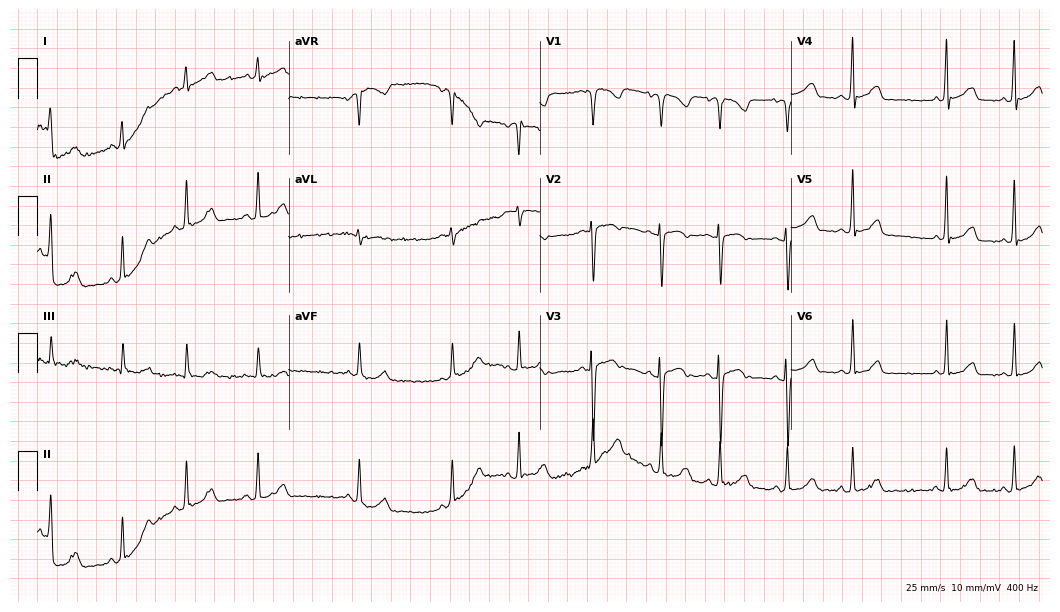
Electrocardiogram (10.2-second recording at 400 Hz), a female, 57 years old. Overall reading on record: normal ECG.